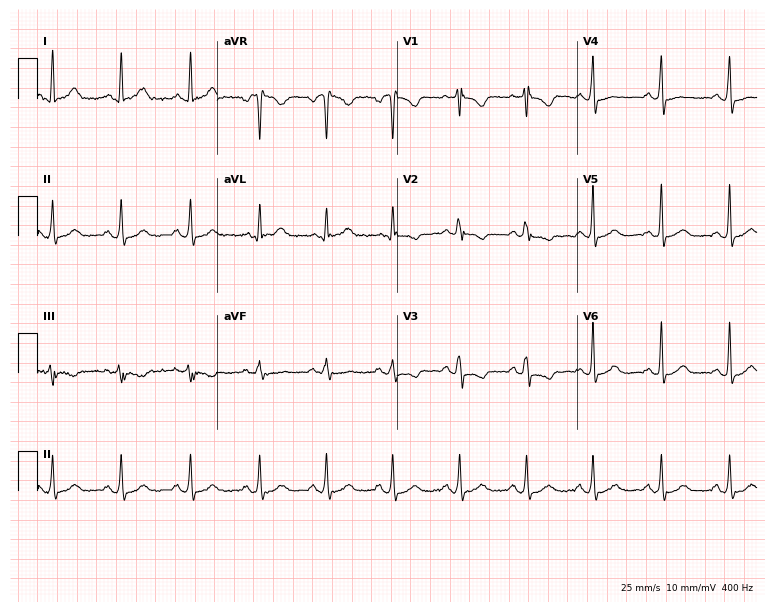
Resting 12-lead electrocardiogram (7.3-second recording at 400 Hz). Patient: a woman, 53 years old. None of these six findings is recorded: first-degree AV block, right bundle branch block, left bundle branch block, sinus bradycardia, atrial fibrillation, sinus tachycardia. Other findings, if any, are not listed.